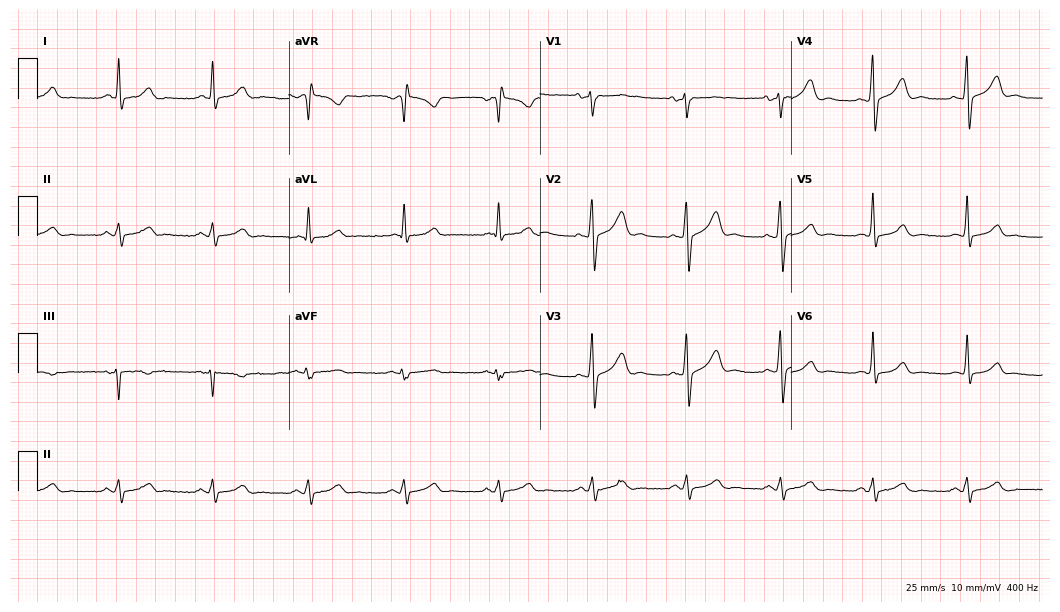
Electrocardiogram, a male, 50 years old. Overall reading on record: normal ECG.